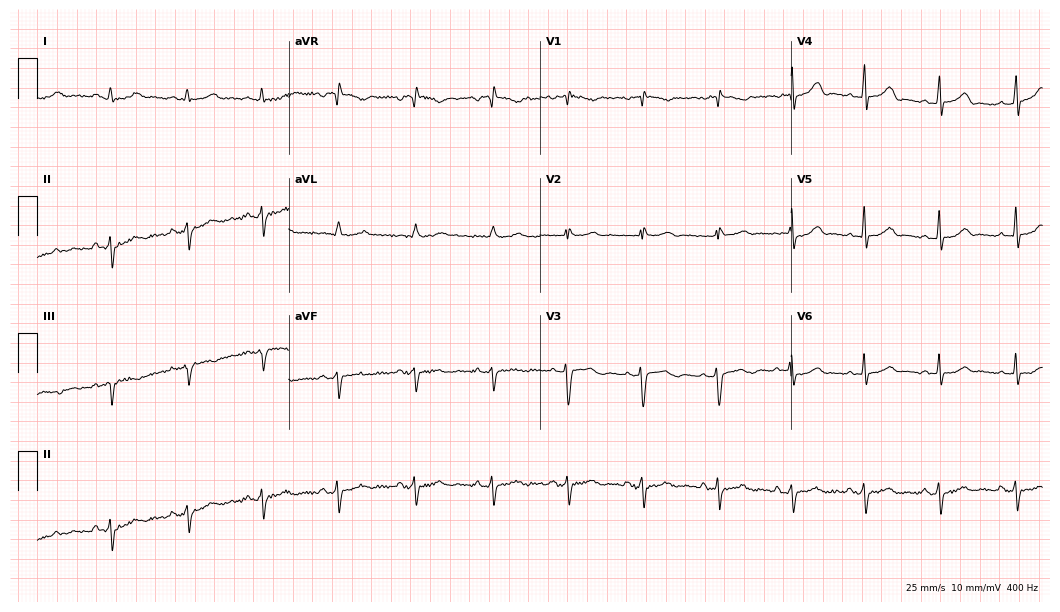
12-lead ECG from a female patient, 26 years old. Screened for six findings — first-degree AV block, right bundle branch block, left bundle branch block, sinus bradycardia, atrial fibrillation, sinus tachycardia — none is recorded.